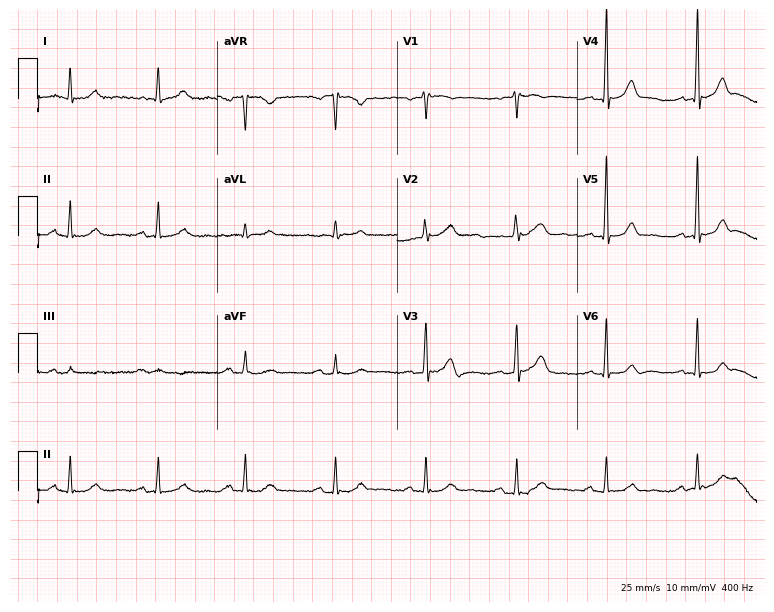
Standard 12-lead ECG recorded from a 72-year-old male patient (7.3-second recording at 400 Hz). None of these six findings is recorded: first-degree AV block, right bundle branch block (RBBB), left bundle branch block (LBBB), sinus bradycardia, atrial fibrillation (AF), sinus tachycardia. Only these six findings were labelled.